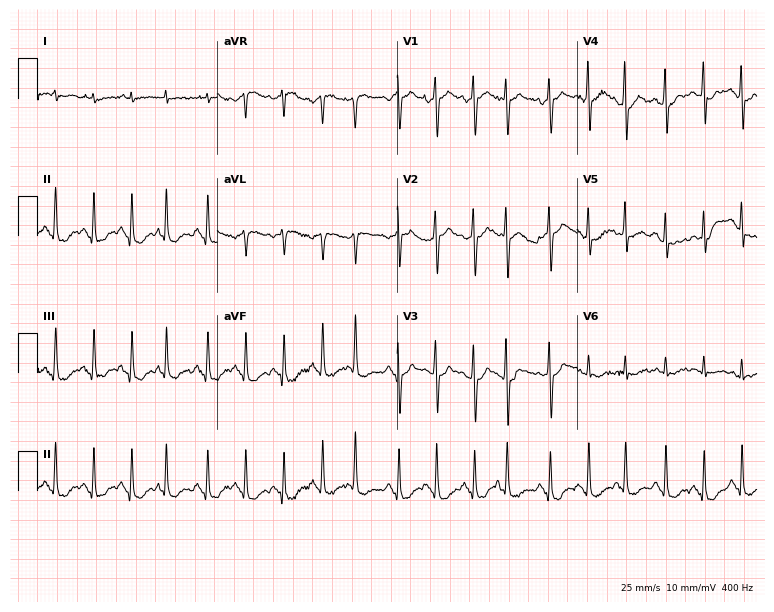
Resting 12-lead electrocardiogram (7.3-second recording at 400 Hz). Patient: a male, 78 years old. The tracing shows sinus tachycardia (a sinus rate of 100 beats per minute or more).